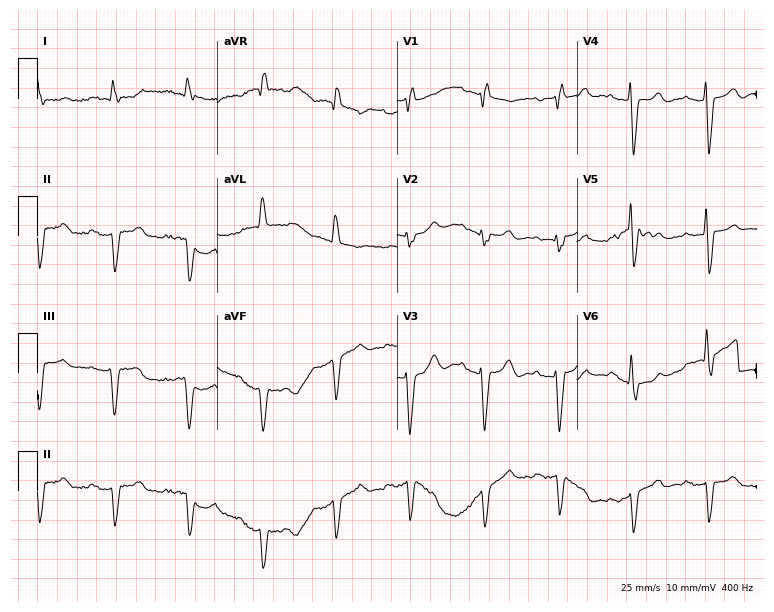
ECG (7.3-second recording at 400 Hz) — a male, 85 years old. Findings include right bundle branch block.